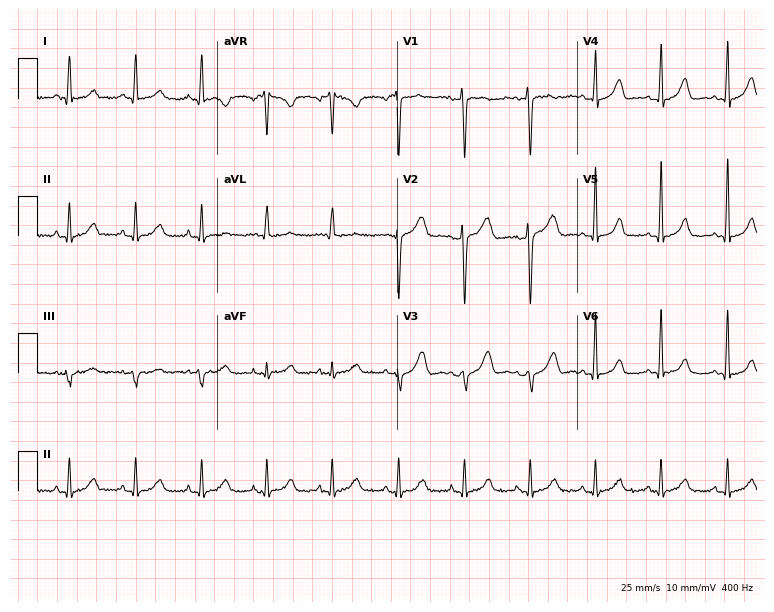
12-lead ECG from a 29-year-old male. Screened for six findings — first-degree AV block, right bundle branch block, left bundle branch block, sinus bradycardia, atrial fibrillation, sinus tachycardia — none is recorded.